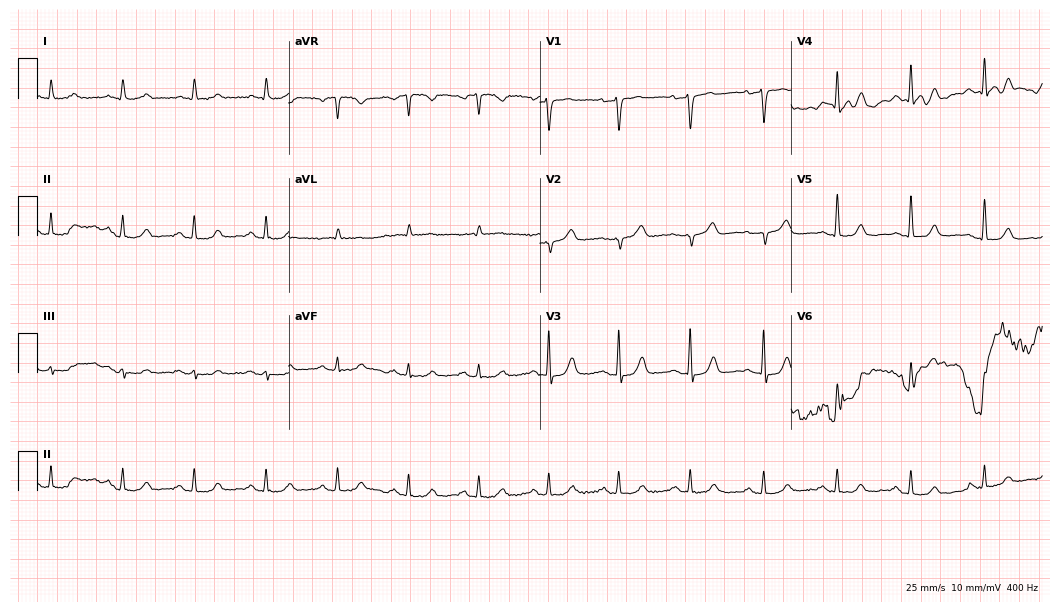
Electrocardiogram (10.2-second recording at 400 Hz), a 56-year-old woman. Of the six screened findings (first-degree AV block, right bundle branch block (RBBB), left bundle branch block (LBBB), sinus bradycardia, atrial fibrillation (AF), sinus tachycardia), none is recorded.